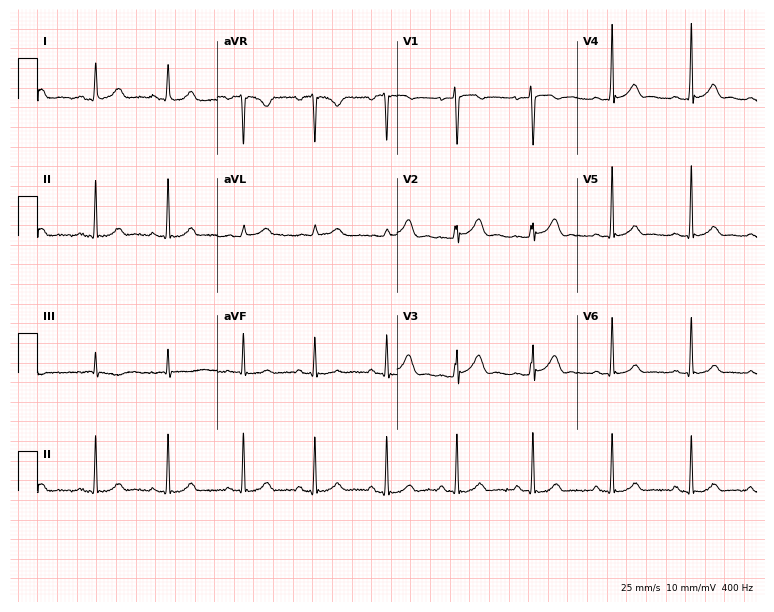
Electrocardiogram, a female patient, 27 years old. Overall reading on record: normal ECG.